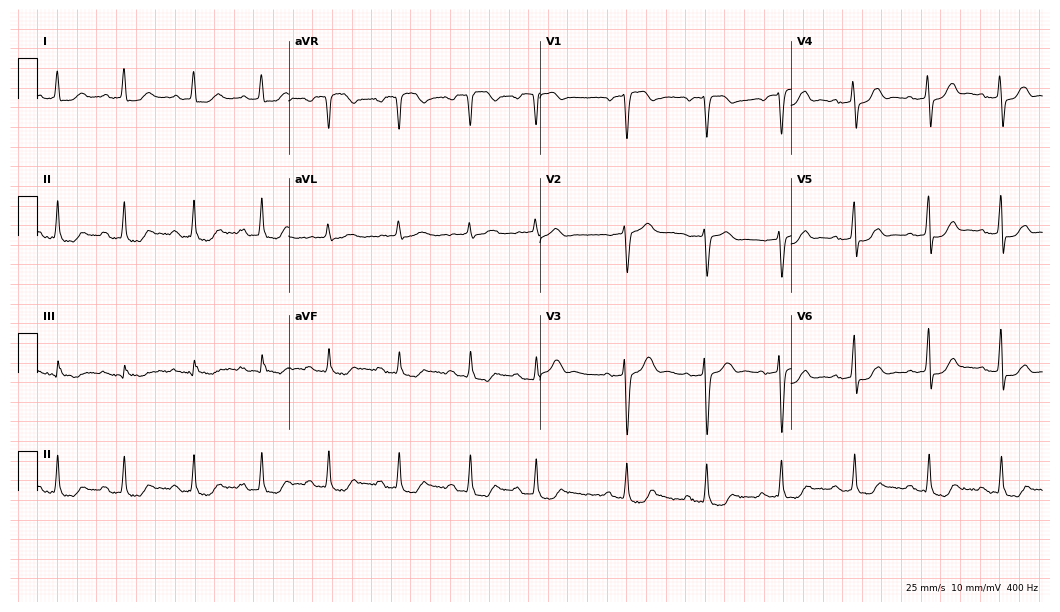
Resting 12-lead electrocardiogram (10.2-second recording at 400 Hz). Patient: a female, 82 years old. The tracing shows first-degree AV block.